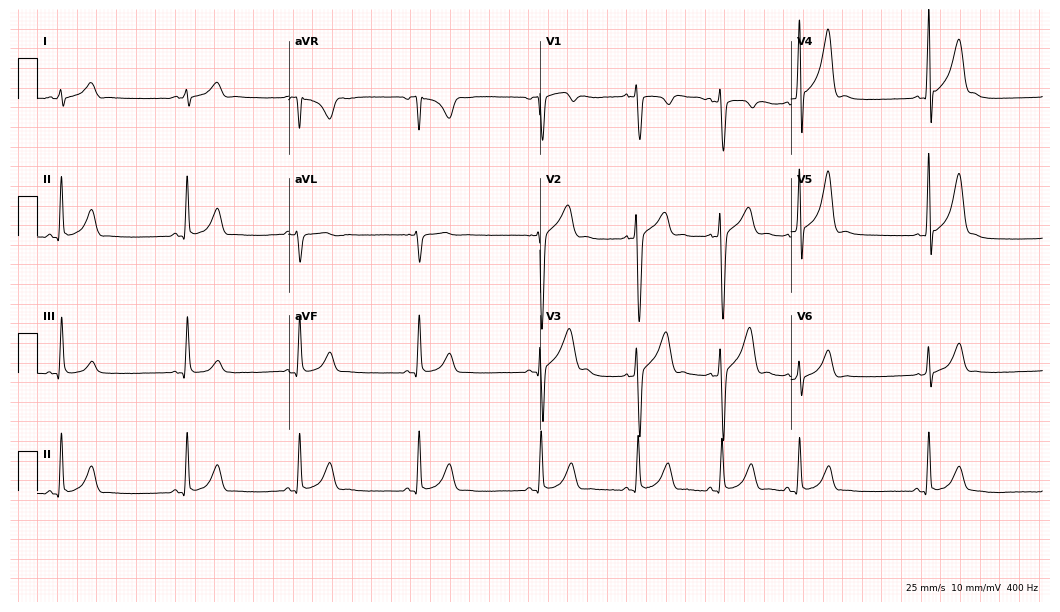
Standard 12-lead ECG recorded from a 19-year-old male (10.2-second recording at 400 Hz). Read as a normal ECG.